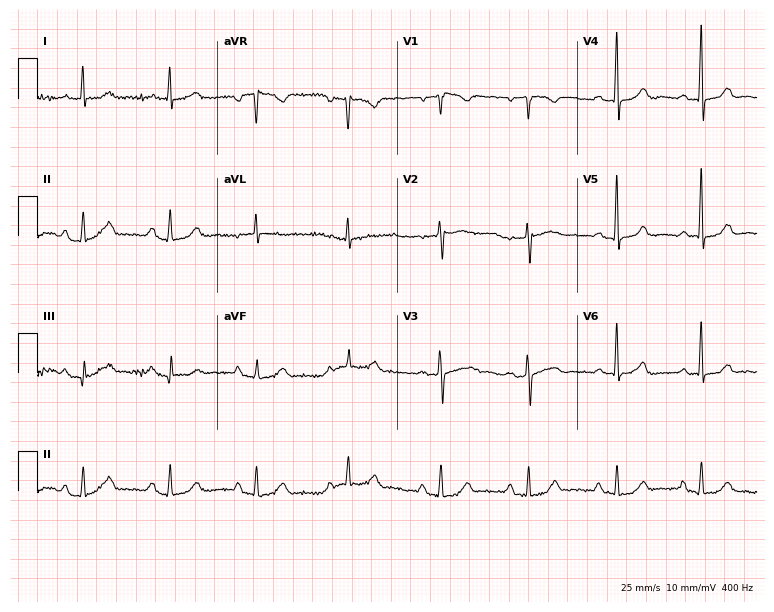
Standard 12-lead ECG recorded from a woman, 78 years old (7.3-second recording at 400 Hz). None of these six findings is recorded: first-degree AV block, right bundle branch block (RBBB), left bundle branch block (LBBB), sinus bradycardia, atrial fibrillation (AF), sinus tachycardia. Findings outside these six are not listed.